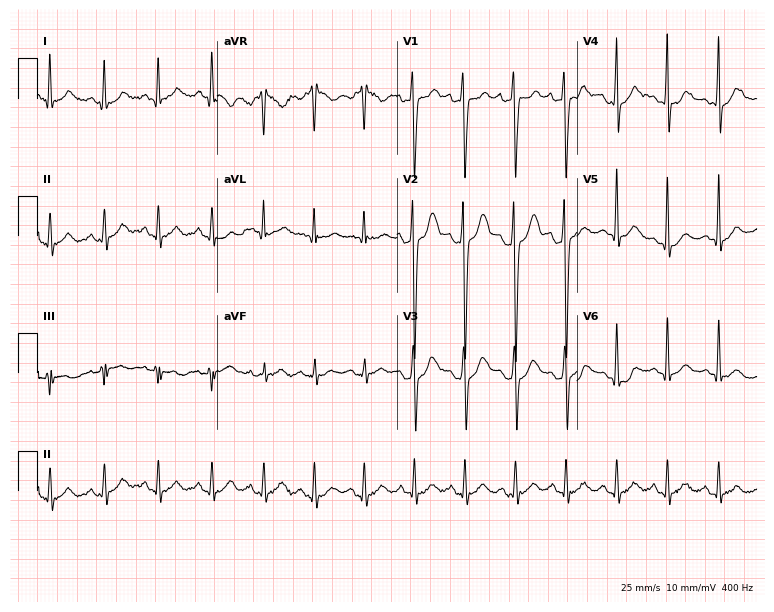
Resting 12-lead electrocardiogram (7.3-second recording at 400 Hz). Patient: a 23-year-old male. The tracing shows sinus tachycardia (a sinus rate of 100 beats per minute or more).